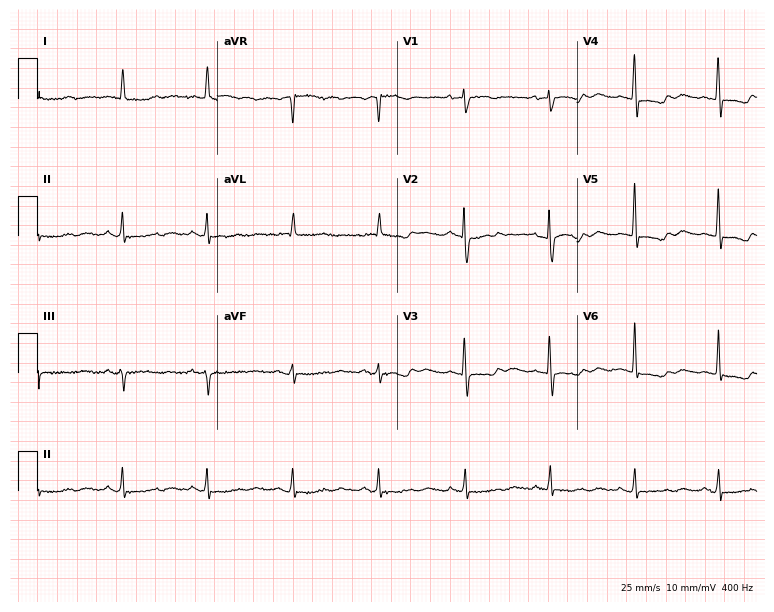
ECG (7.3-second recording at 400 Hz) — a woman, 59 years old. Screened for six findings — first-degree AV block, right bundle branch block, left bundle branch block, sinus bradycardia, atrial fibrillation, sinus tachycardia — none is recorded. Only these six findings were labelled.